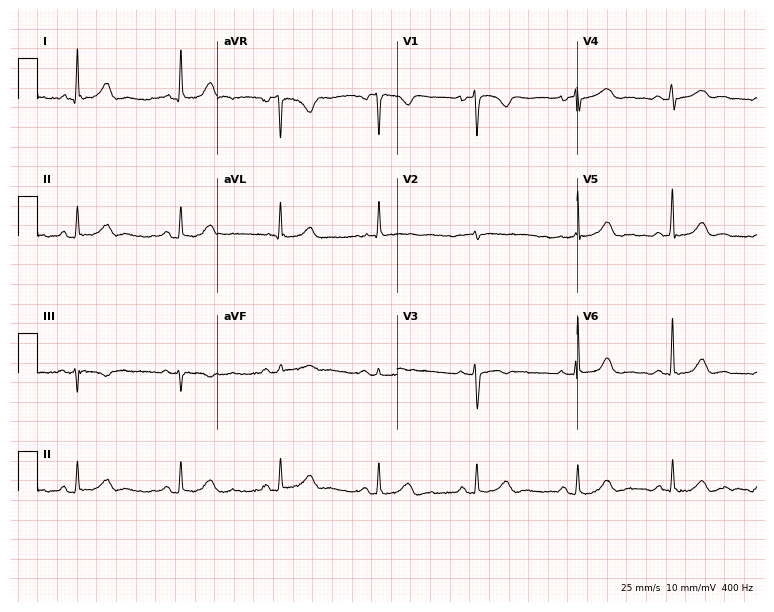
Standard 12-lead ECG recorded from a 51-year-old female patient. Read as a normal ECG.